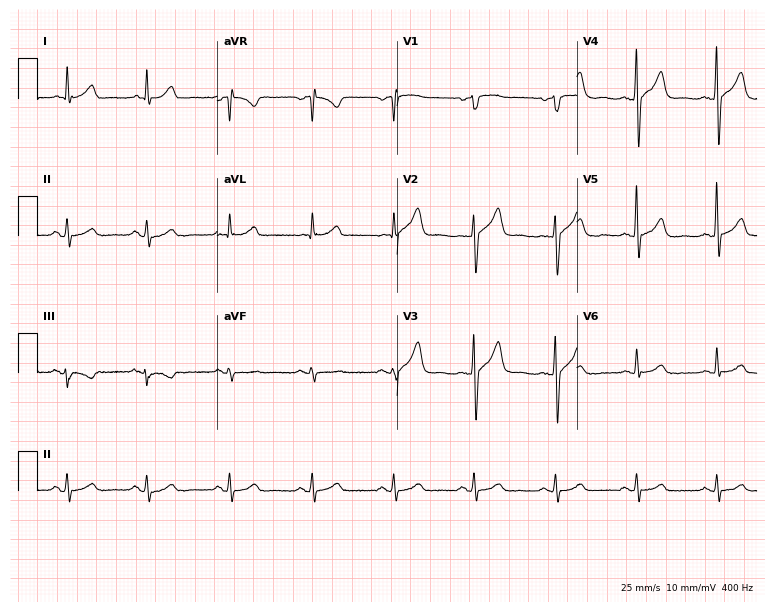
12-lead ECG (7.3-second recording at 400 Hz) from a 51-year-old male. Screened for six findings — first-degree AV block, right bundle branch block, left bundle branch block, sinus bradycardia, atrial fibrillation, sinus tachycardia — none is recorded.